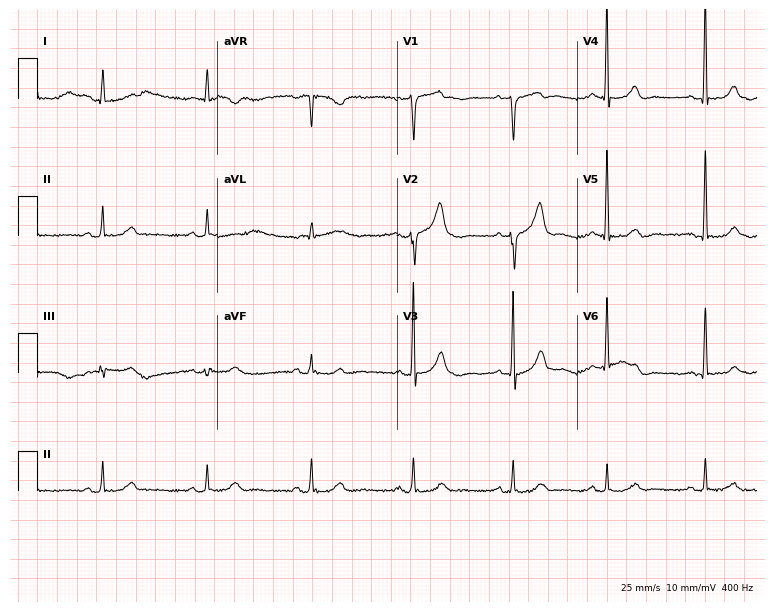
Resting 12-lead electrocardiogram. Patient: an 80-year-old male. Read as a normal ECG.